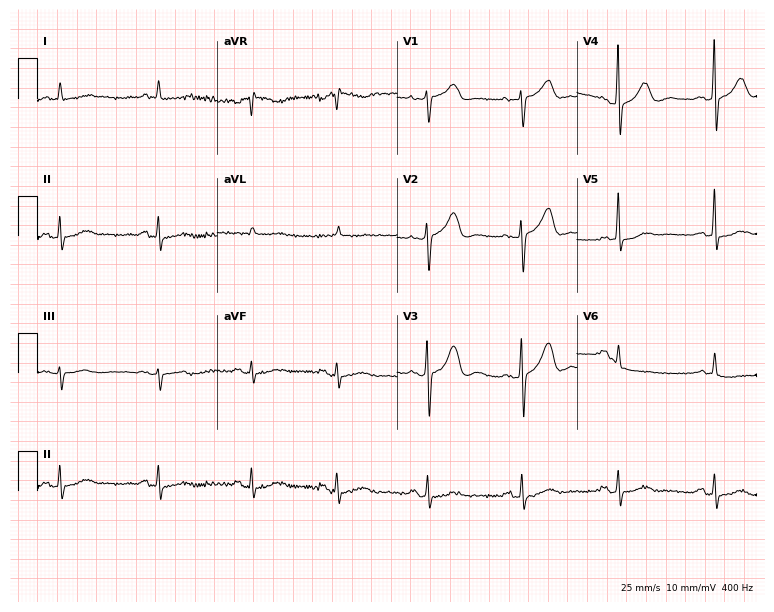
Resting 12-lead electrocardiogram (7.3-second recording at 400 Hz). Patient: a 79-year-old woman. None of these six findings is recorded: first-degree AV block, right bundle branch block, left bundle branch block, sinus bradycardia, atrial fibrillation, sinus tachycardia.